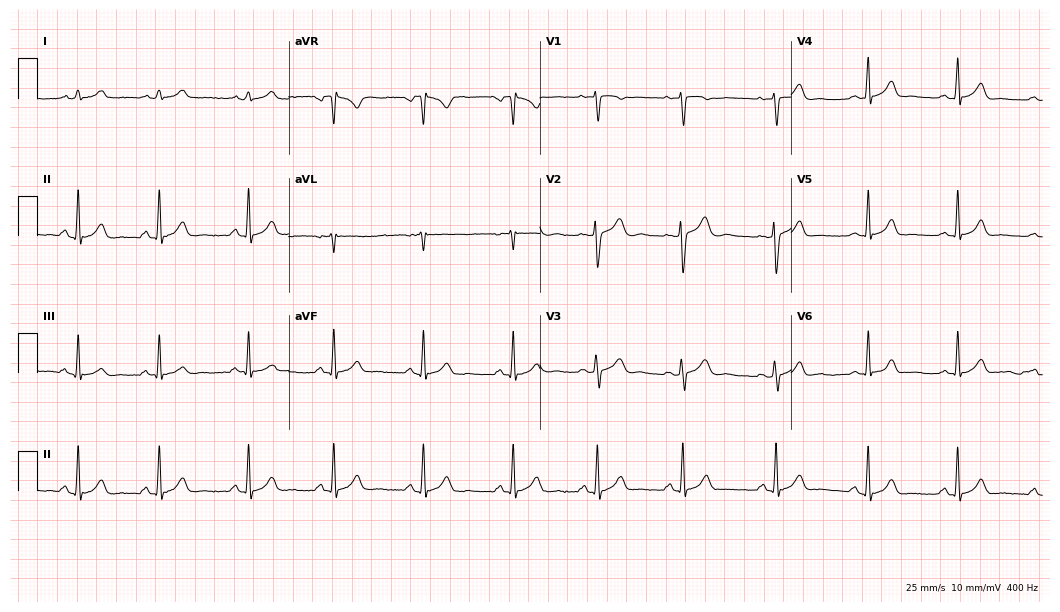
12-lead ECG from a woman, 25 years old. Recorded interpretation: within normal limits.